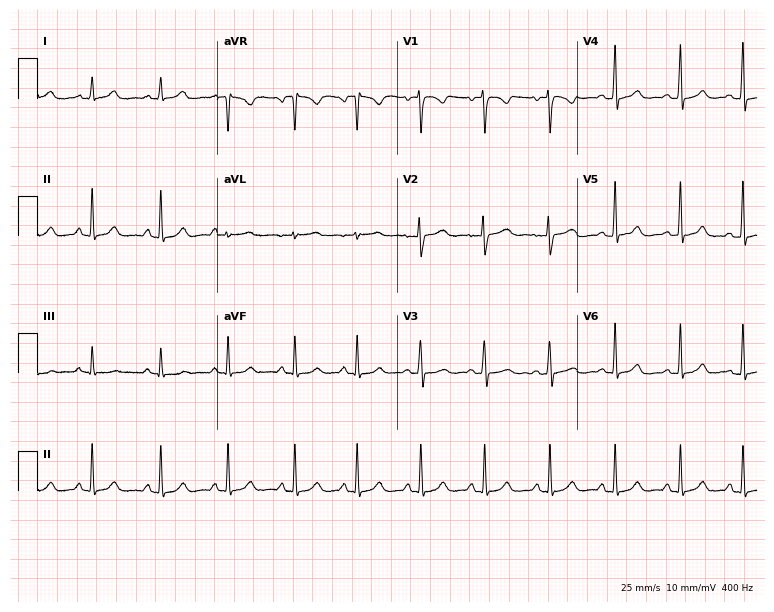
12-lead ECG (7.3-second recording at 400 Hz) from a woman, 36 years old. Labelled as a normal ECG.